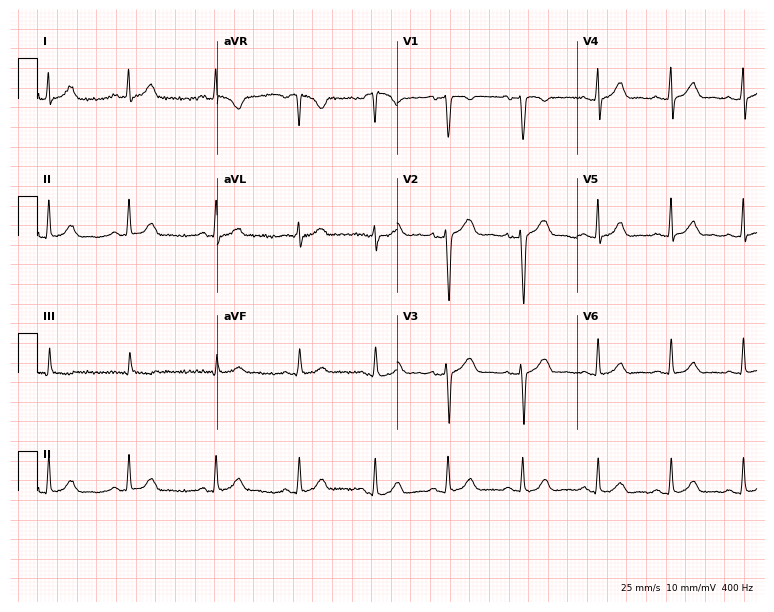
Resting 12-lead electrocardiogram (7.3-second recording at 400 Hz). Patient: a woman, 18 years old. Read as a normal ECG.